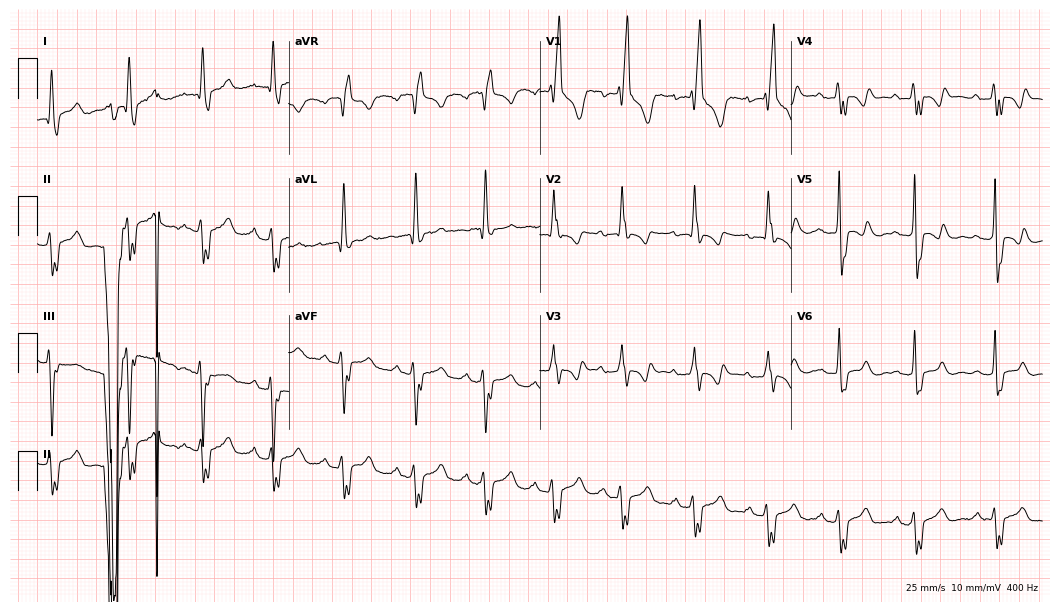
Resting 12-lead electrocardiogram. Patient: a male, 39 years old. None of these six findings is recorded: first-degree AV block, right bundle branch block, left bundle branch block, sinus bradycardia, atrial fibrillation, sinus tachycardia.